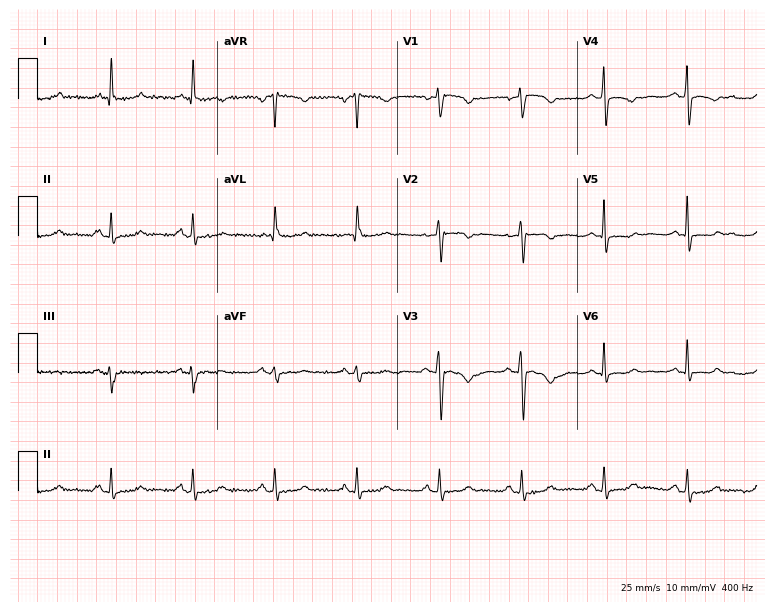
Electrocardiogram (7.3-second recording at 400 Hz), a 64-year-old female patient. Of the six screened findings (first-degree AV block, right bundle branch block, left bundle branch block, sinus bradycardia, atrial fibrillation, sinus tachycardia), none is recorded. Other findings, if any, are not listed.